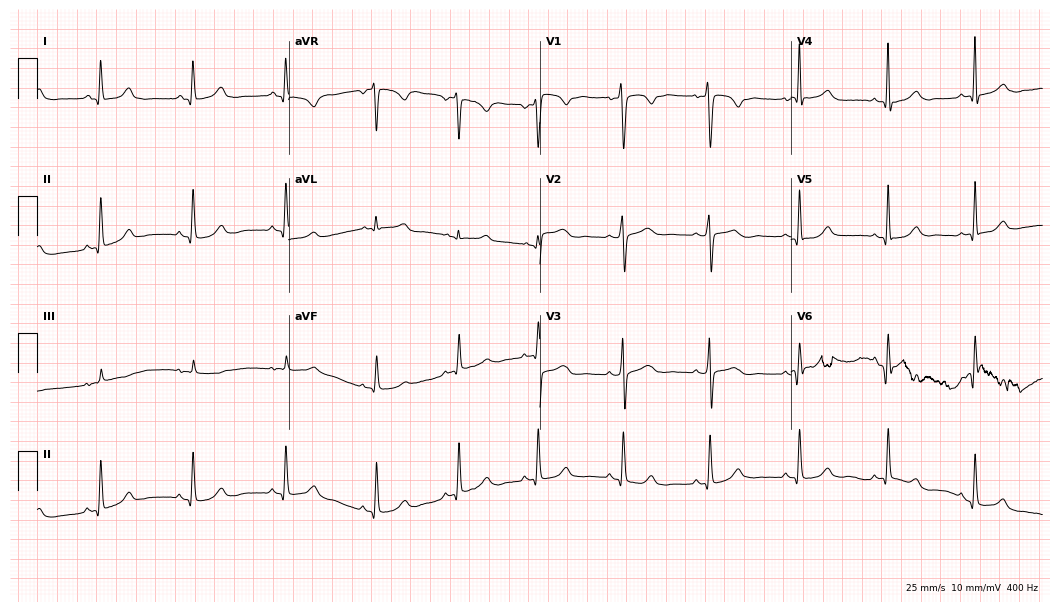
12-lead ECG from a female, 30 years old. Recorded interpretation: within normal limits.